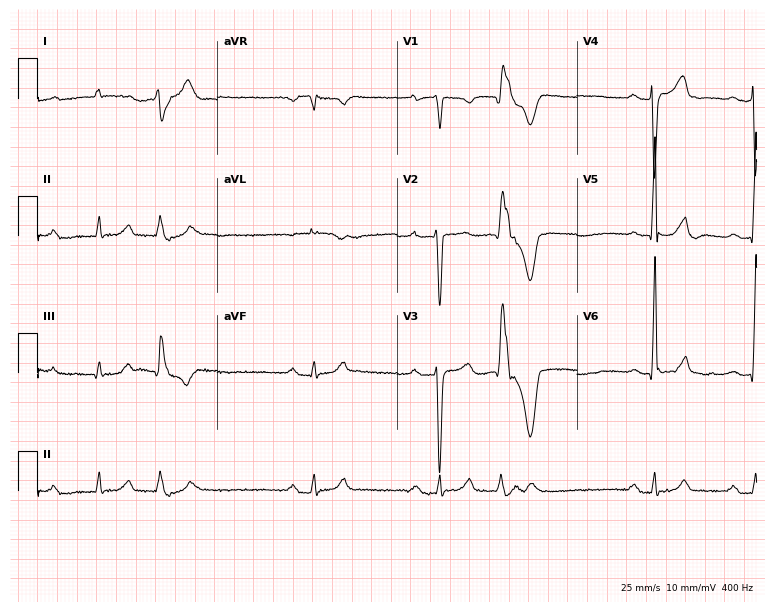
12-lead ECG from a man, 34 years old (7.3-second recording at 400 Hz). Shows first-degree AV block.